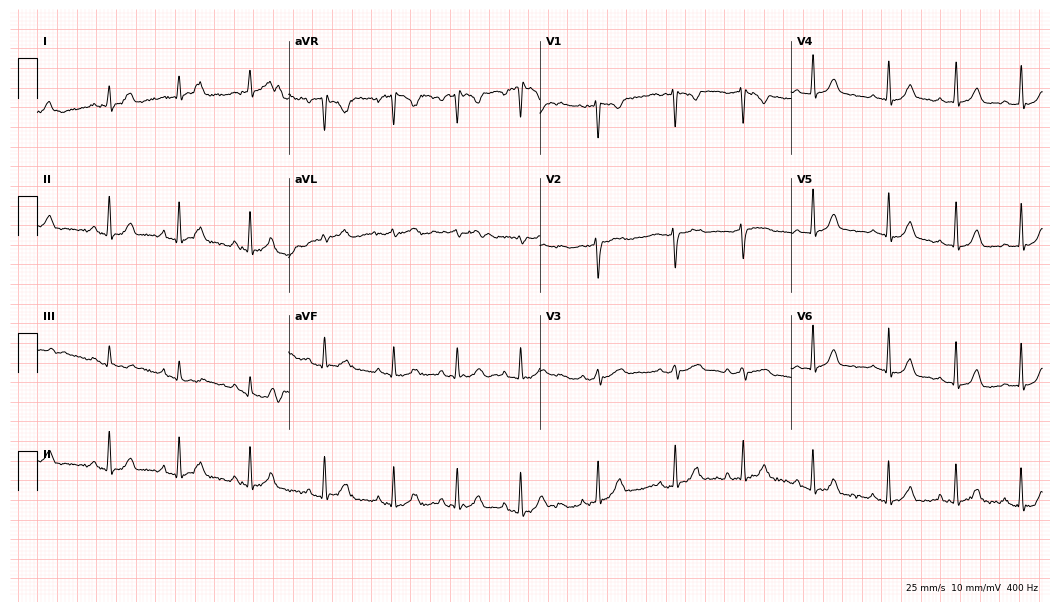
Resting 12-lead electrocardiogram. Patient: a female, 24 years old. Read as a normal ECG.